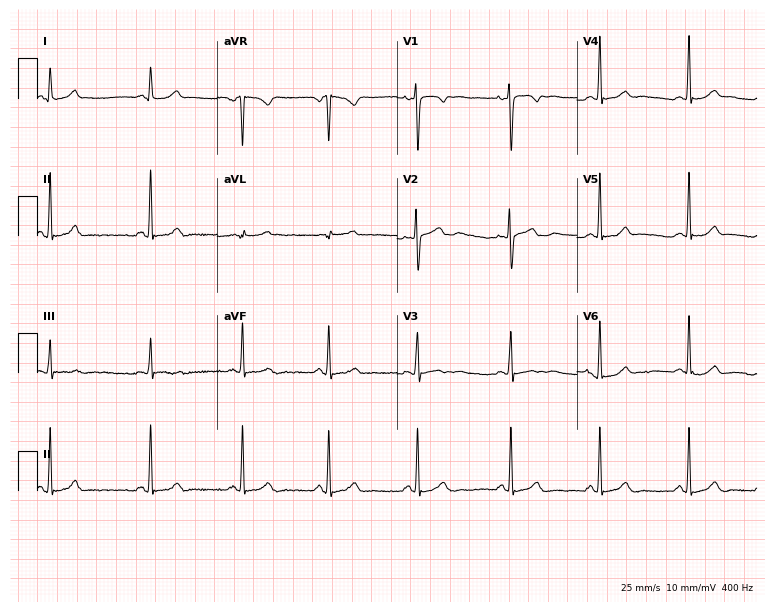
12-lead ECG from a female, 18 years old (7.3-second recording at 400 Hz). Recorded interpretation: within normal limits.